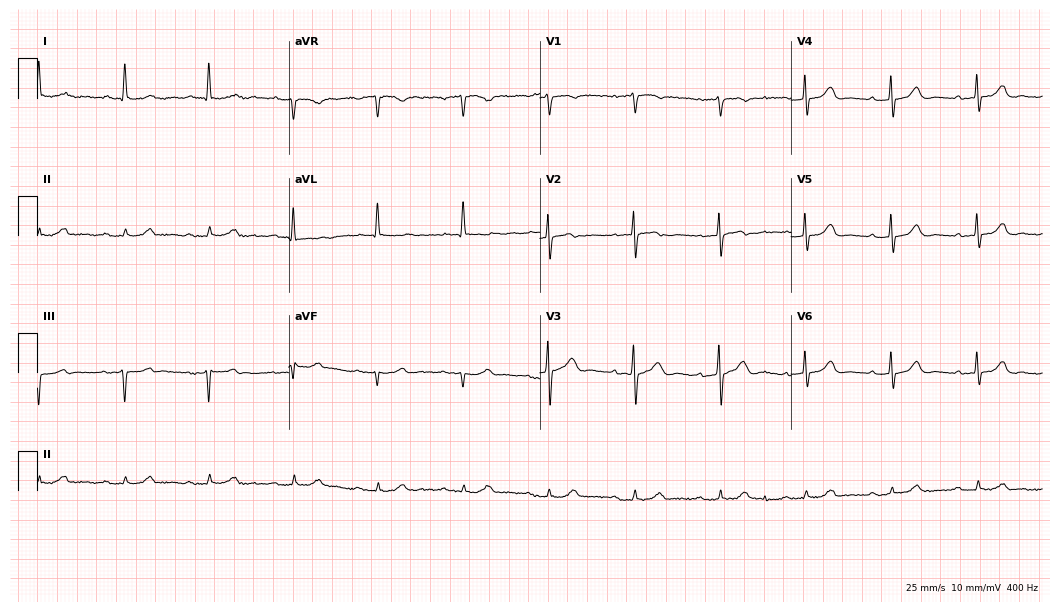
12-lead ECG (10.2-second recording at 400 Hz) from an 82-year-old male. Labelled as a normal ECG.